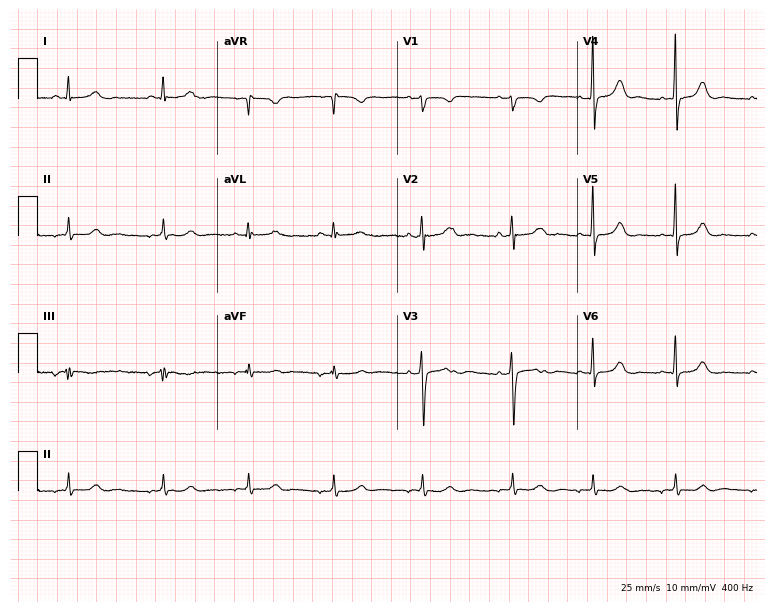
12-lead ECG from a female, 19 years old. Recorded interpretation: within normal limits.